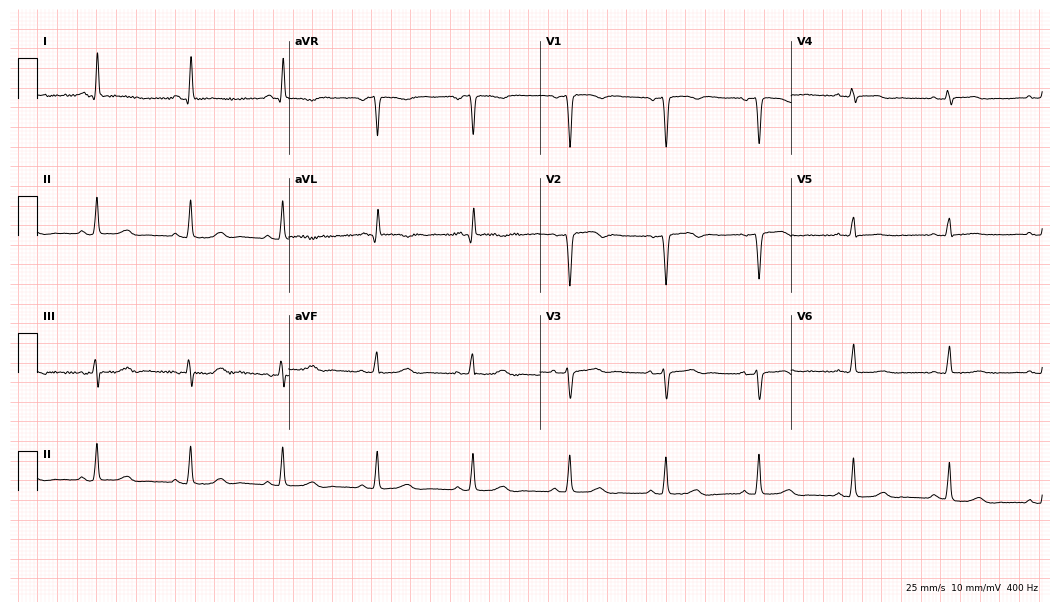
ECG (10.2-second recording at 400 Hz) — a woman, 58 years old. Screened for six findings — first-degree AV block, right bundle branch block, left bundle branch block, sinus bradycardia, atrial fibrillation, sinus tachycardia — none is recorded. Findings outside these six are not listed.